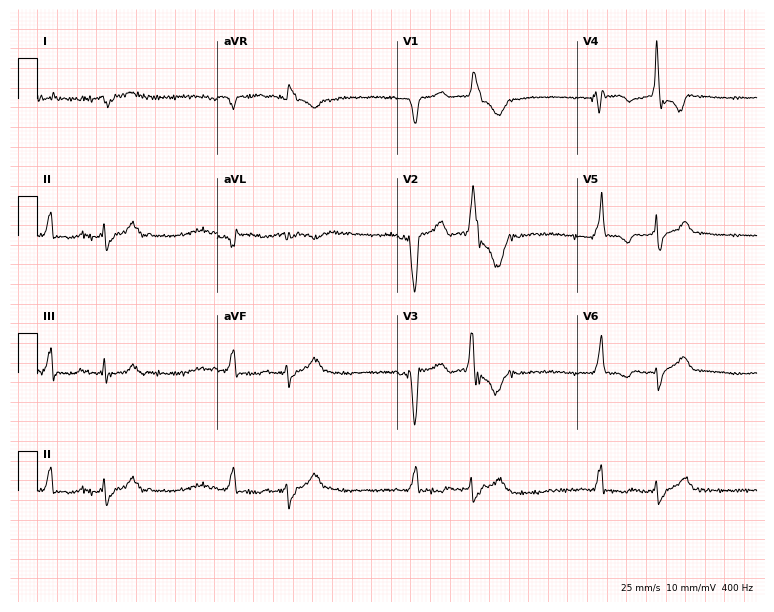
Electrocardiogram (7.3-second recording at 400 Hz), a 70-year-old woman. Of the six screened findings (first-degree AV block, right bundle branch block (RBBB), left bundle branch block (LBBB), sinus bradycardia, atrial fibrillation (AF), sinus tachycardia), none is recorded. Findings outside these six are not listed.